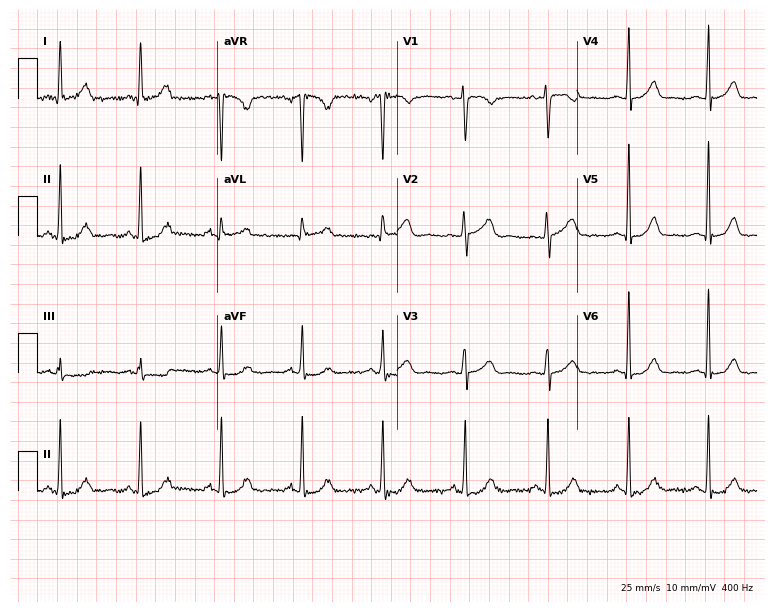
12-lead ECG from a 53-year-old female. Labelled as a normal ECG.